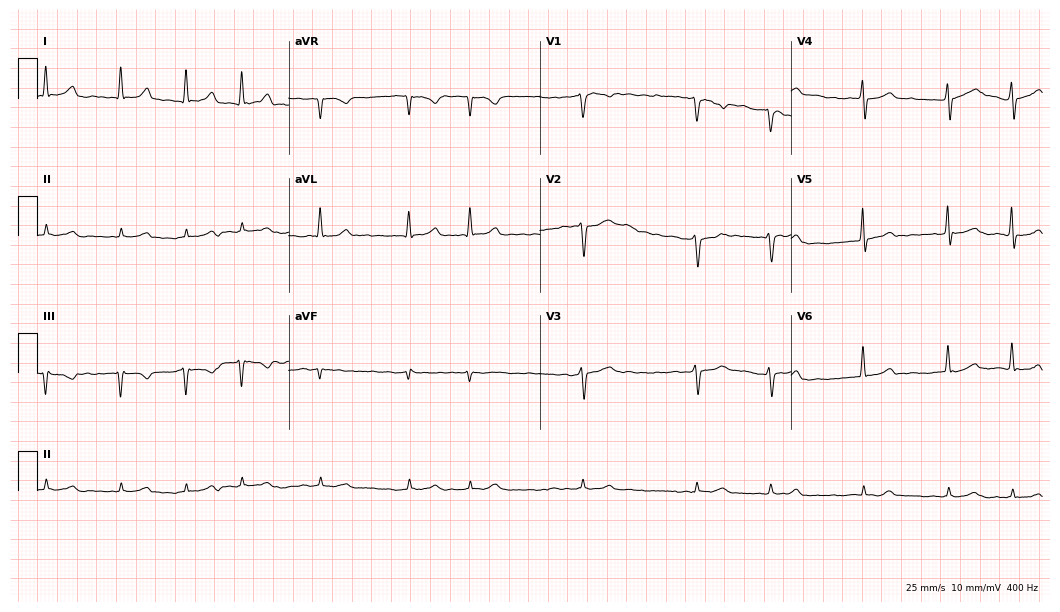
Resting 12-lead electrocardiogram. Patient: a man, 63 years old. The tracing shows atrial fibrillation.